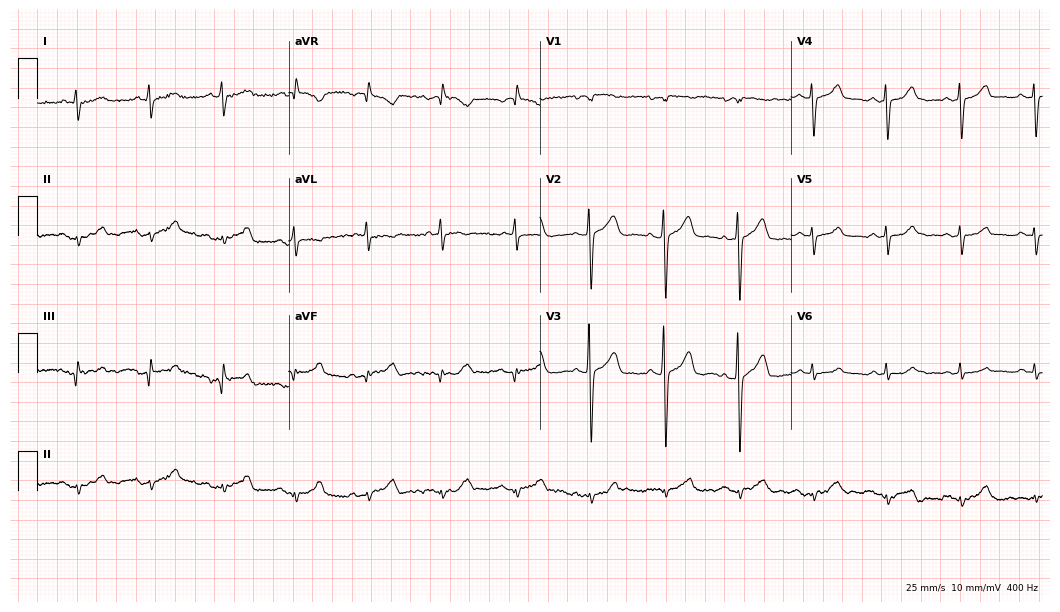
Electrocardiogram (10.2-second recording at 400 Hz), a 76-year-old woman. Of the six screened findings (first-degree AV block, right bundle branch block (RBBB), left bundle branch block (LBBB), sinus bradycardia, atrial fibrillation (AF), sinus tachycardia), none is recorded. Findings outside these six are not listed.